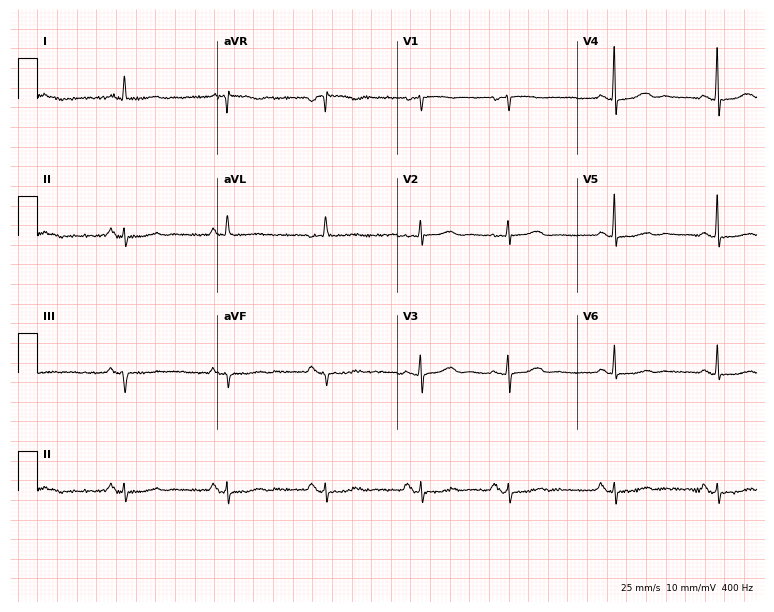
Electrocardiogram (7.3-second recording at 400 Hz), a 75-year-old female. Of the six screened findings (first-degree AV block, right bundle branch block, left bundle branch block, sinus bradycardia, atrial fibrillation, sinus tachycardia), none is recorded.